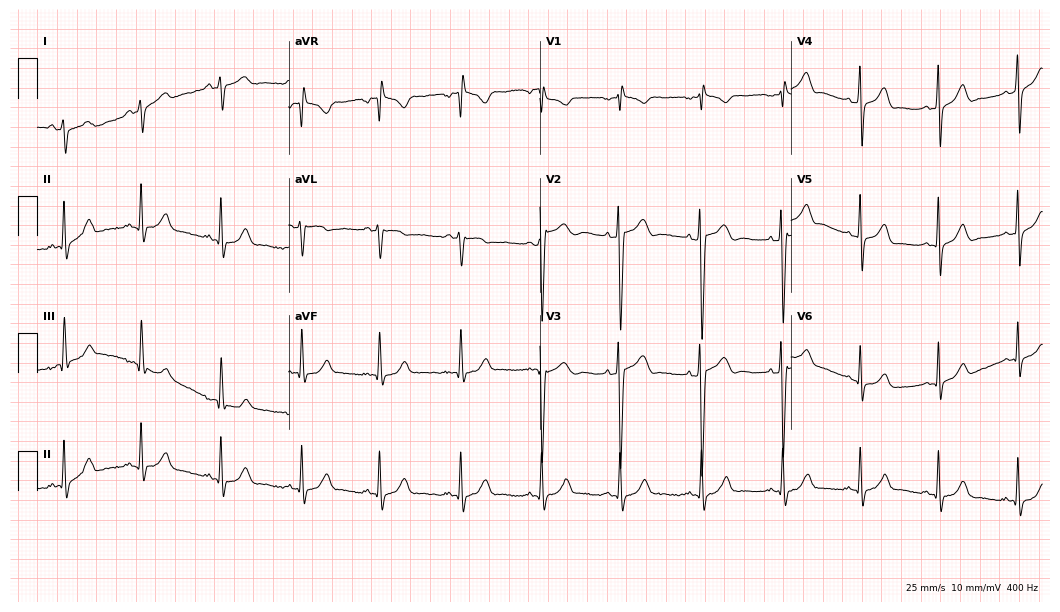
Electrocardiogram (10.2-second recording at 400 Hz), a male patient, 17 years old. Of the six screened findings (first-degree AV block, right bundle branch block (RBBB), left bundle branch block (LBBB), sinus bradycardia, atrial fibrillation (AF), sinus tachycardia), none is recorded.